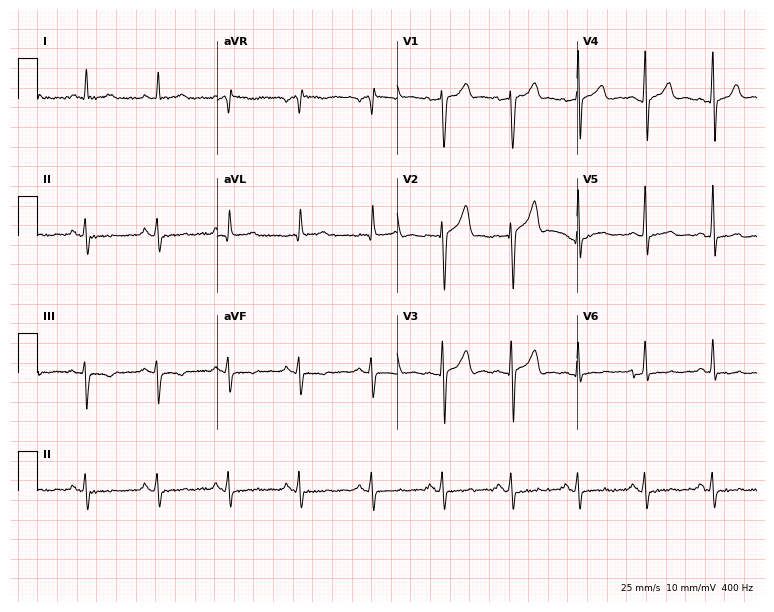
12-lead ECG from a man, 42 years old. No first-degree AV block, right bundle branch block, left bundle branch block, sinus bradycardia, atrial fibrillation or sinus tachycardia recorded for this tracing. Other findings, if any, are not listed.